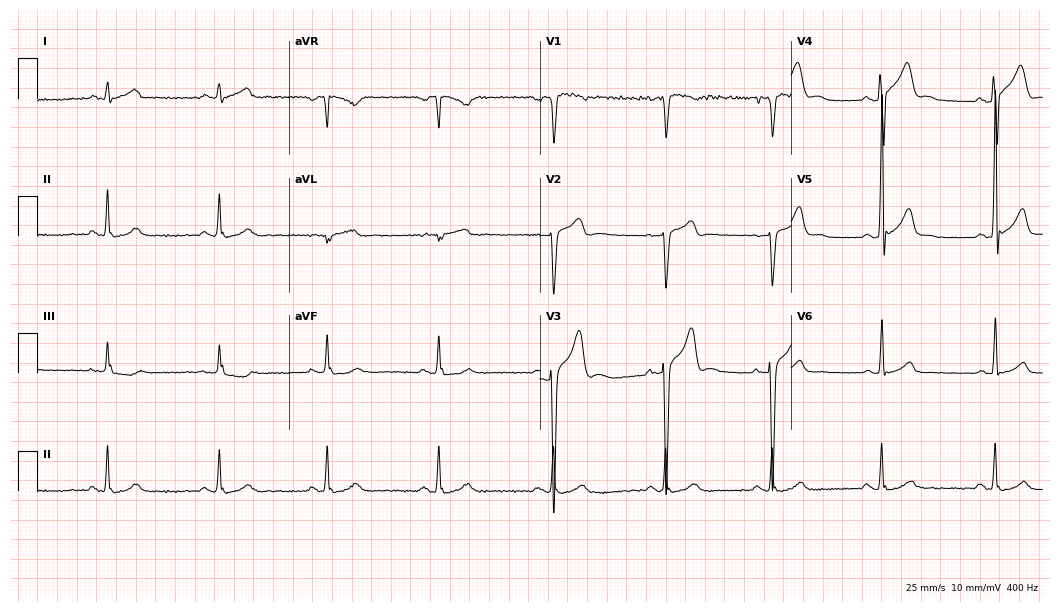
ECG (10.2-second recording at 400 Hz) — a male patient, 22 years old. Screened for six findings — first-degree AV block, right bundle branch block (RBBB), left bundle branch block (LBBB), sinus bradycardia, atrial fibrillation (AF), sinus tachycardia — none is recorded. Findings outside these six are not listed.